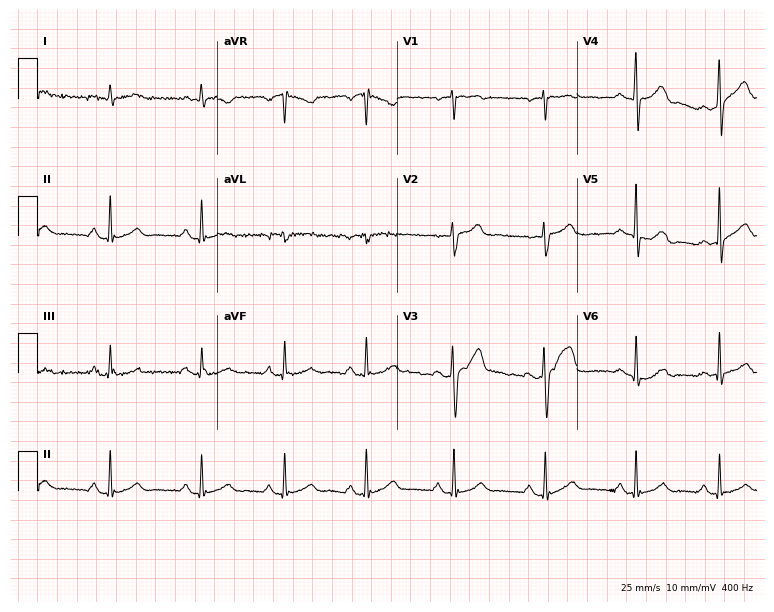
Electrocardiogram (7.3-second recording at 400 Hz), a man, 37 years old. Overall reading on record: normal ECG.